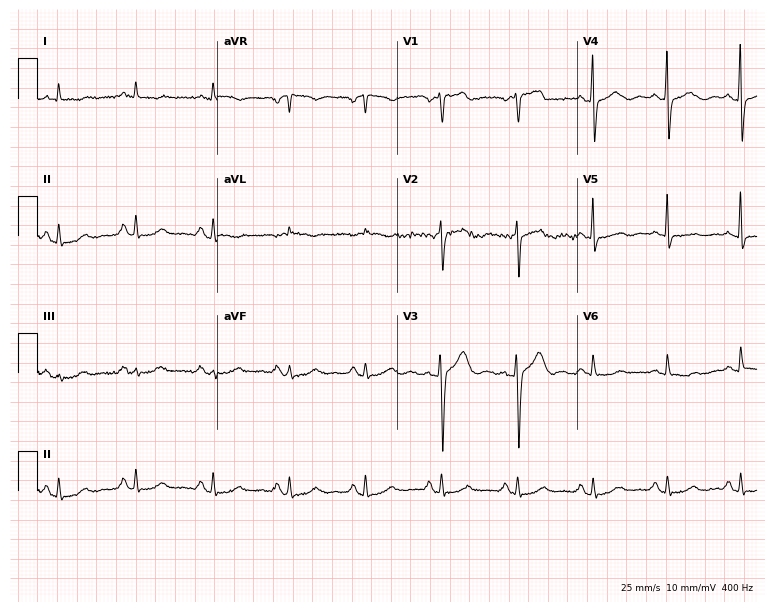
Resting 12-lead electrocardiogram (7.3-second recording at 400 Hz). Patient: a male, 56 years old. None of these six findings is recorded: first-degree AV block, right bundle branch block, left bundle branch block, sinus bradycardia, atrial fibrillation, sinus tachycardia.